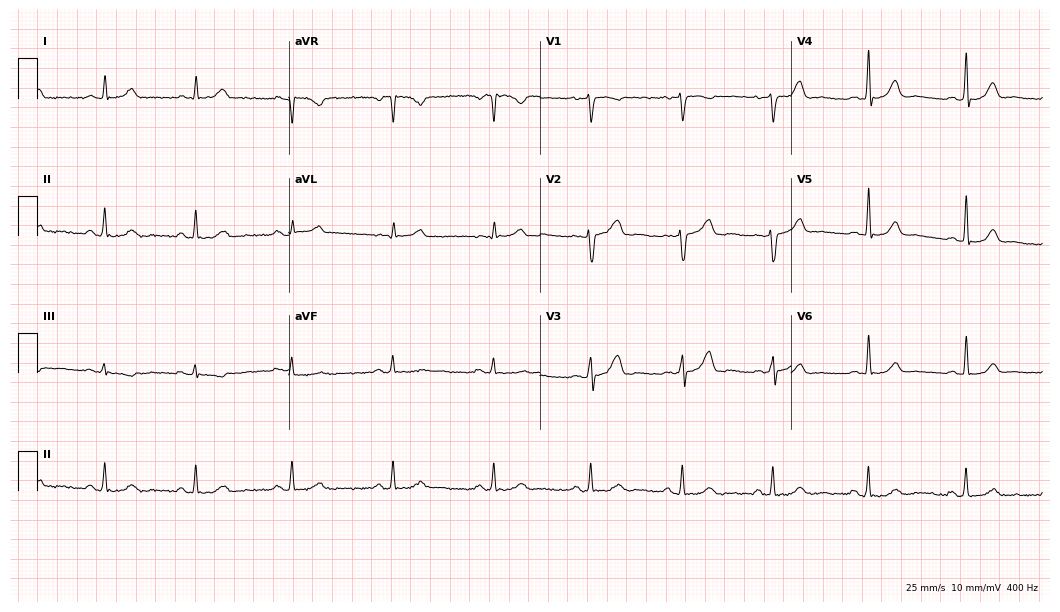
12-lead ECG from a 46-year-old female patient (10.2-second recording at 400 Hz). Recorded interpretation: within normal limits.